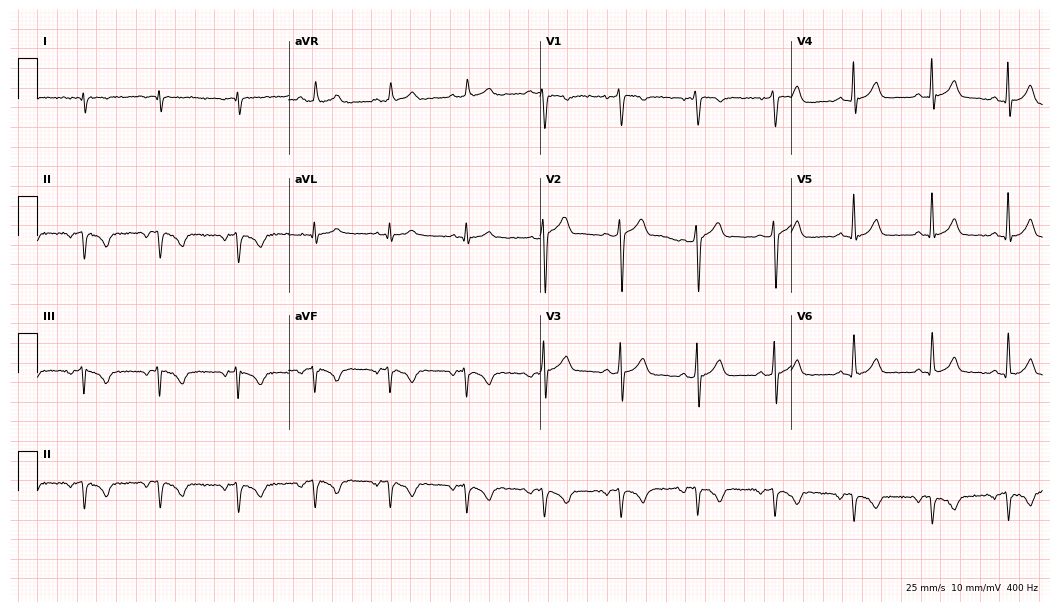
Electrocardiogram (10.2-second recording at 400 Hz), a 36-year-old male. Of the six screened findings (first-degree AV block, right bundle branch block, left bundle branch block, sinus bradycardia, atrial fibrillation, sinus tachycardia), none is recorded.